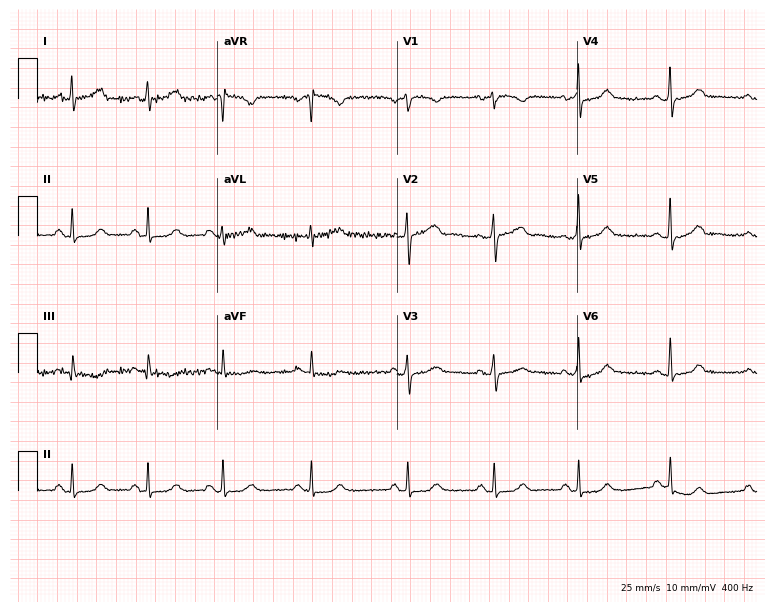
ECG (7.3-second recording at 400 Hz) — a 26-year-old female. Labelled as a normal ECG.